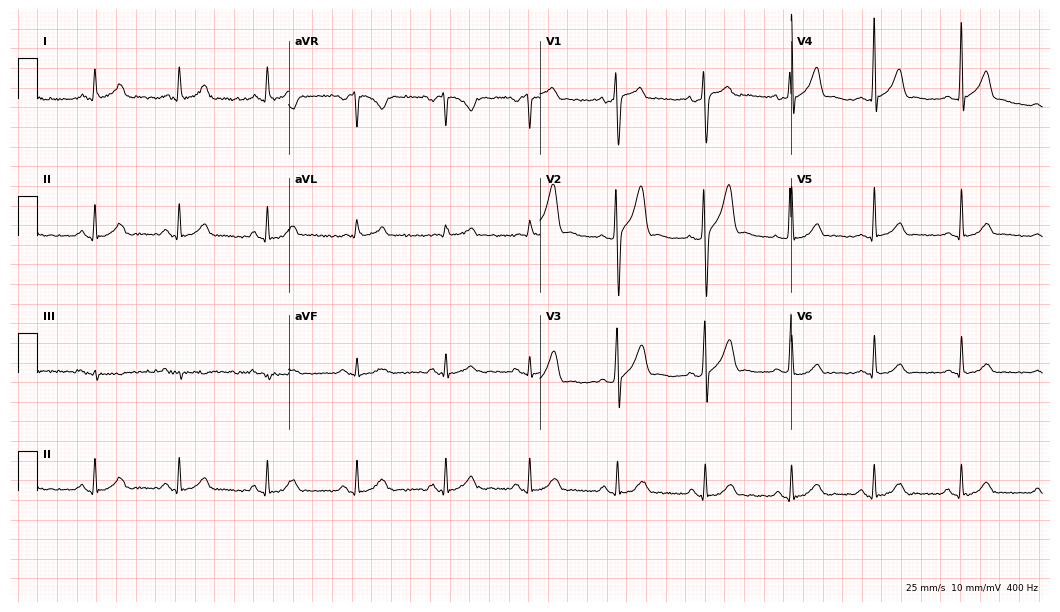
12-lead ECG from a 25-year-old male. Recorded interpretation: within normal limits.